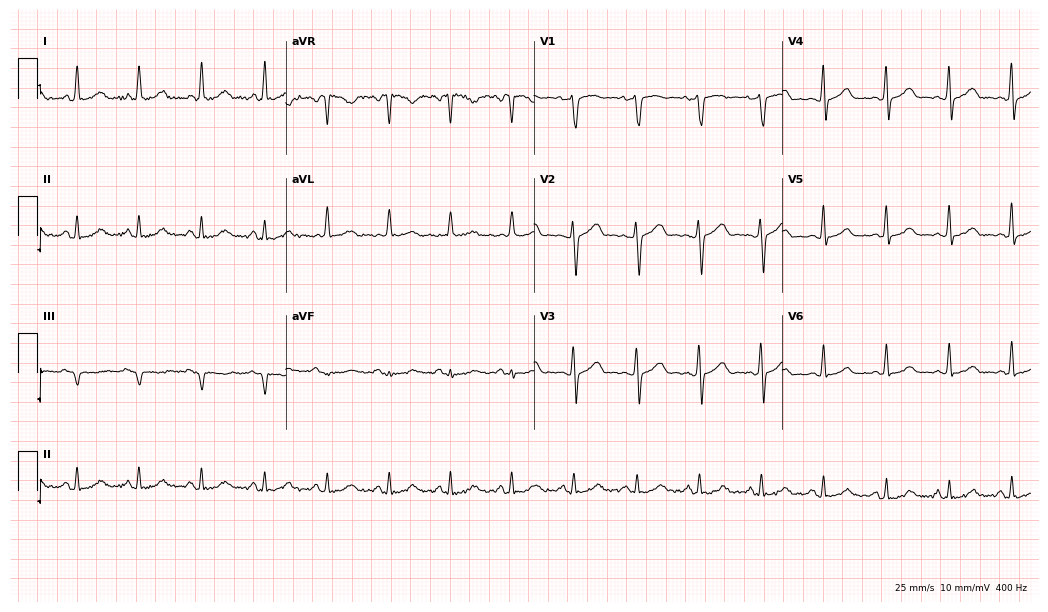
Electrocardiogram (10.1-second recording at 400 Hz), a 41-year-old woman. Overall reading on record: normal ECG.